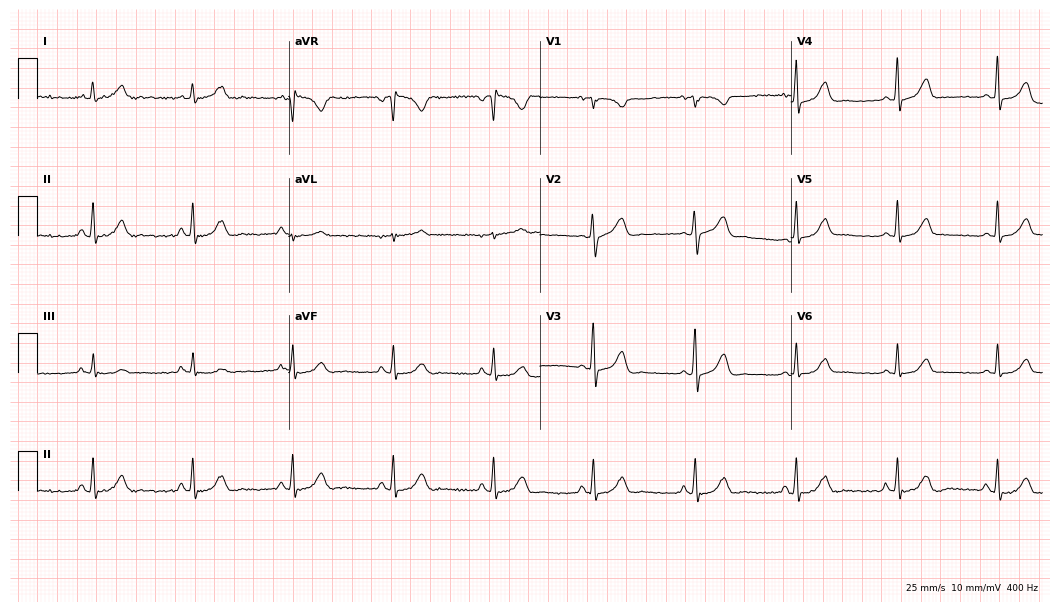
12-lead ECG from a female patient, 25 years old. Screened for six findings — first-degree AV block, right bundle branch block, left bundle branch block, sinus bradycardia, atrial fibrillation, sinus tachycardia — none is recorded.